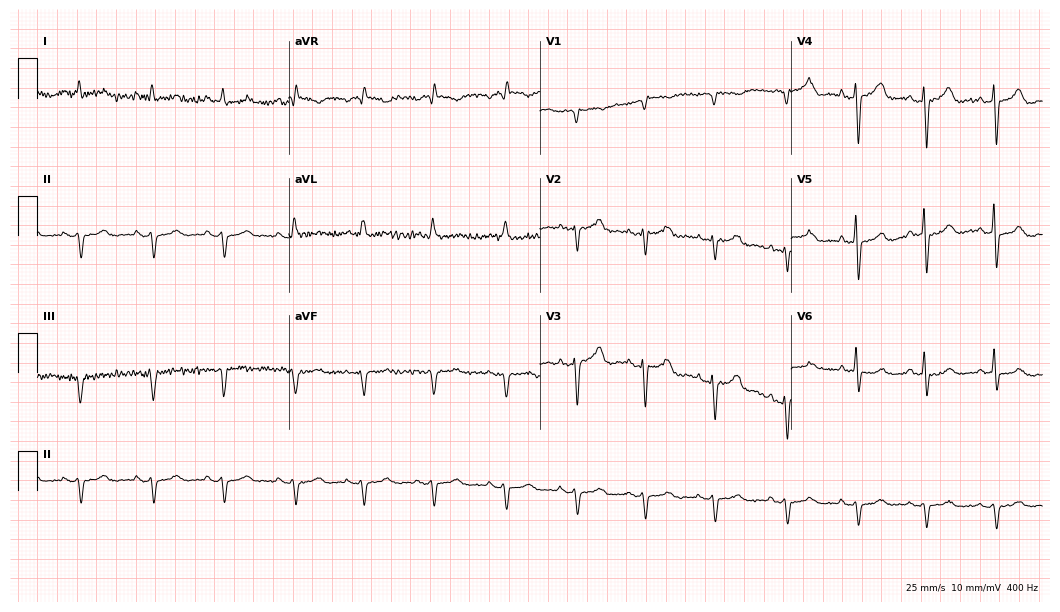
12-lead ECG from an 84-year-old man. Screened for six findings — first-degree AV block, right bundle branch block, left bundle branch block, sinus bradycardia, atrial fibrillation, sinus tachycardia — none is recorded. Only these six findings were labelled.